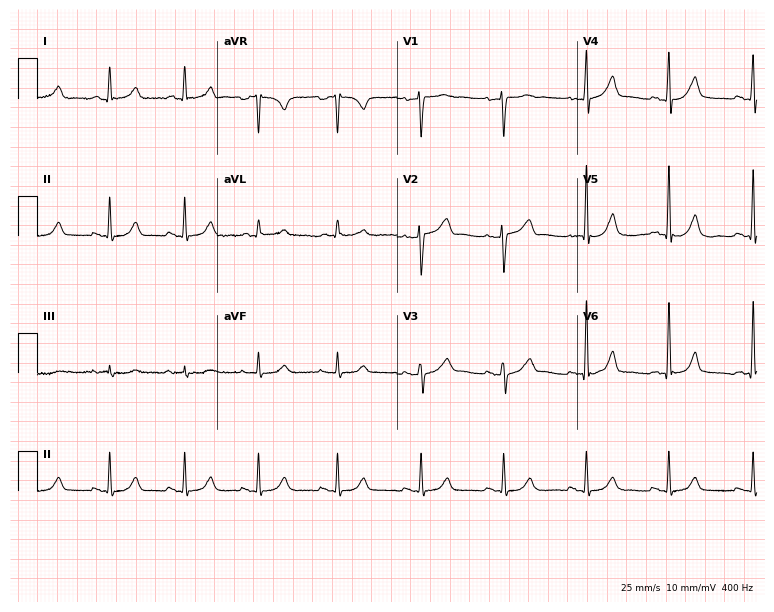
12-lead ECG from a 49-year-old man (7.3-second recording at 400 Hz). Recorded interpretation: within normal limits.